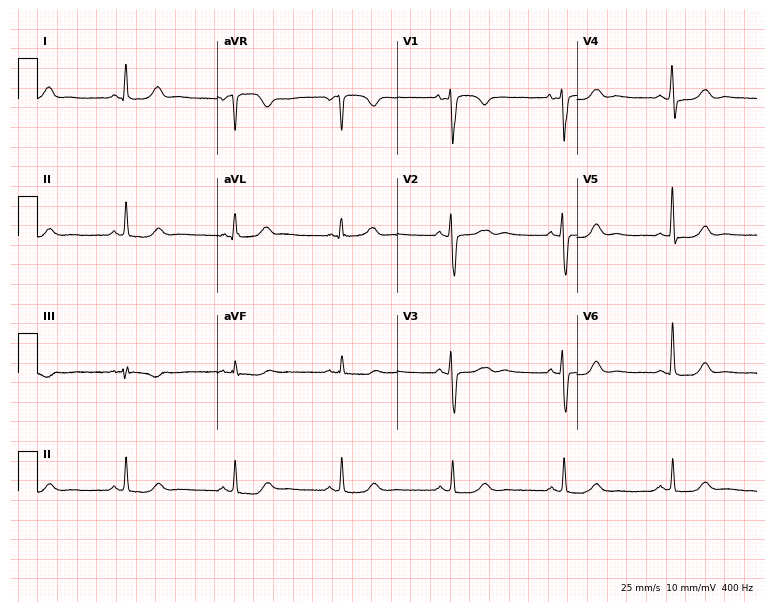
12-lead ECG from a 52-year-old woman. No first-degree AV block, right bundle branch block, left bundle branch block, sinus bradycardia, atrial fibrillation or sinus tachycardia recorded for this tracing. Findings outside these six are not listed.